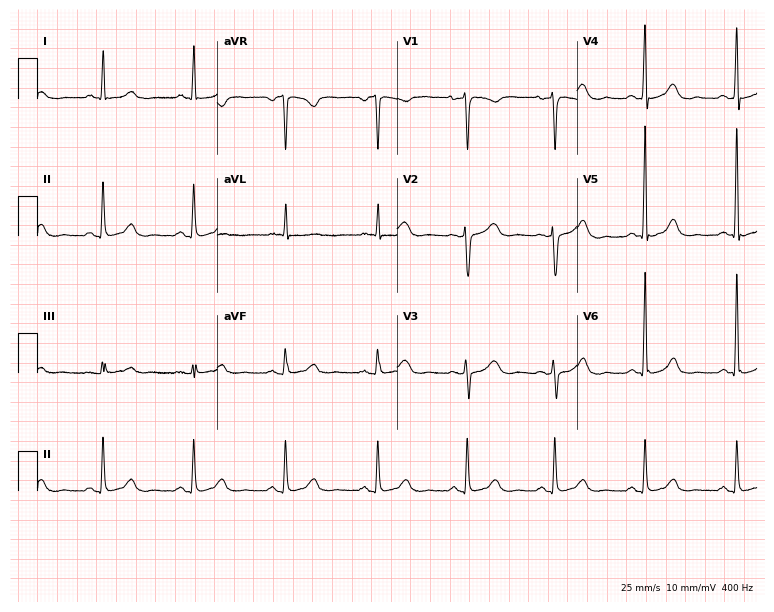
Standard 12-lead ECG recorded from a female, 50 years old. None of these six findings is recorded: first-degree AV block, right bundle branch block, left bundle branch block, sinus bradycardia, atrial fibrillation, sinus tachycardia.